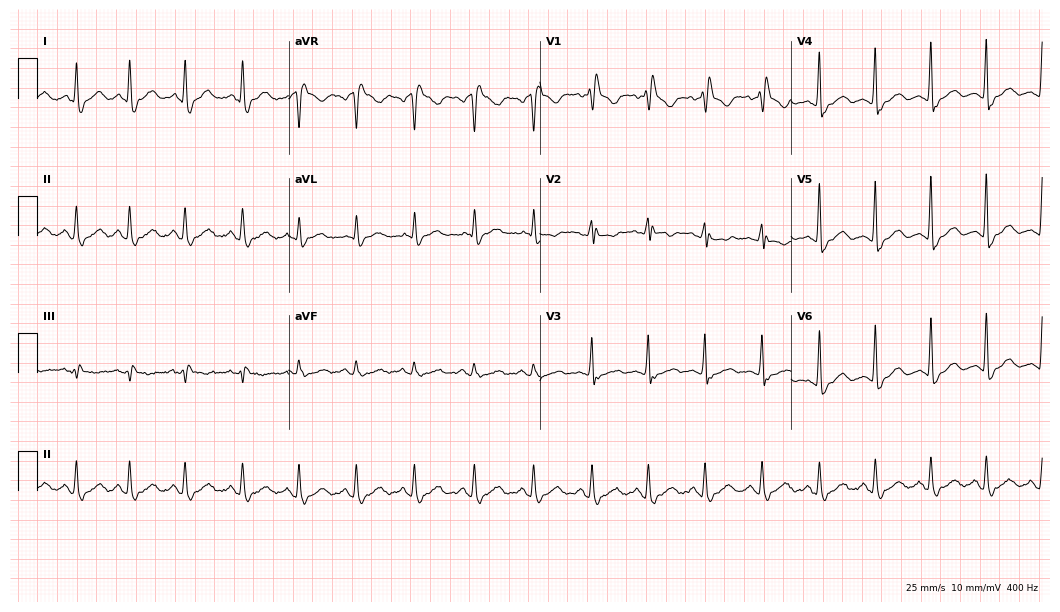
ECG — a female, 74 years old. Findings include right bundle branch block, sinus tachycardia (a sinus rate of 100 beats per minute or more).